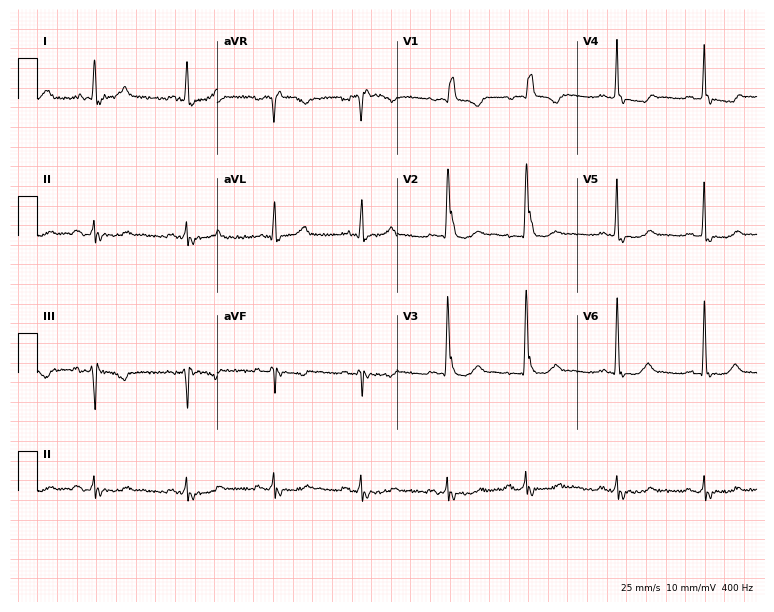
Electrocardiogram (7.3-second recording at 400 Hz), a 77-year-old female. Of the six screened findings (first-degree AV block, right bundle branch block (RBBB), left bundle branch block (LBBB), sinus bradycardia, atrial fibrillation (AF), sinus tachycardia), none is recorded. Only these six findings were labelled.